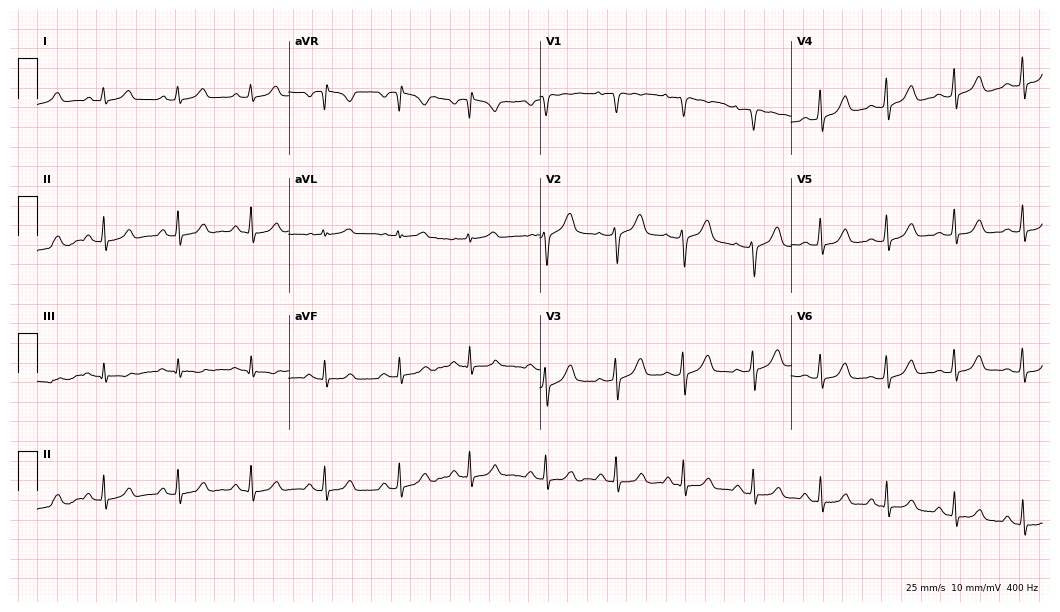
ECG — a female, 23 years old. Screened for six findings — first-degree AV block, right bundle branch block, left bundle branch block, sinus bradycardia, atrial fibrillation, sinus tachycardia — none is recorded.